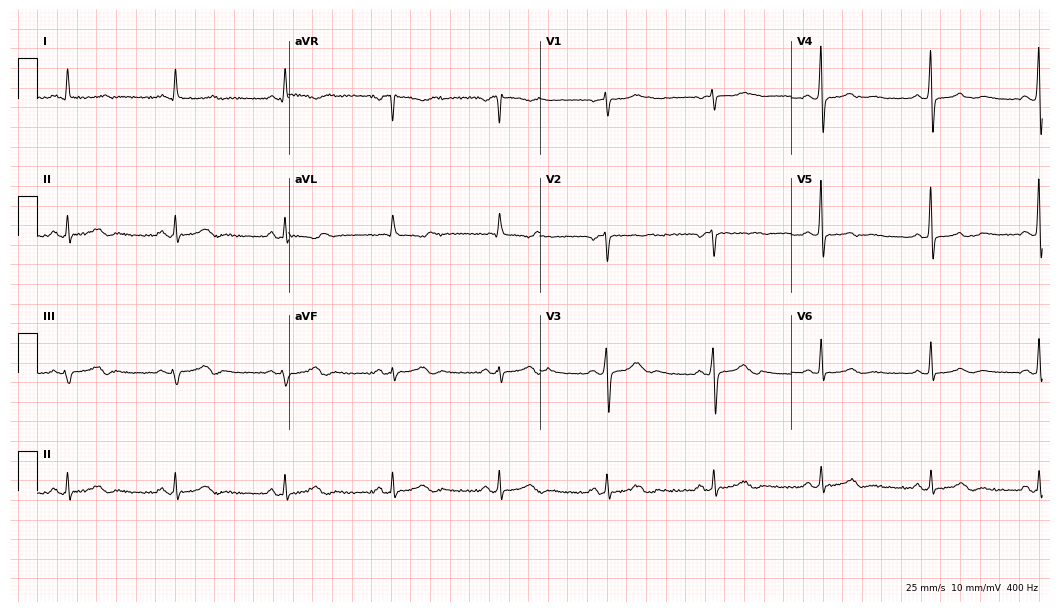
Electrocardiogram (10.2-second recording at 400 Hz), a 52-year-old male. Of the six screened findings (first-degree AV block, right bundle branch block (RBBB), left bundle branch block (LBBB), sinus bradycardia, atrial fibrillation (AF), sinus tachycardia), none is recorded.